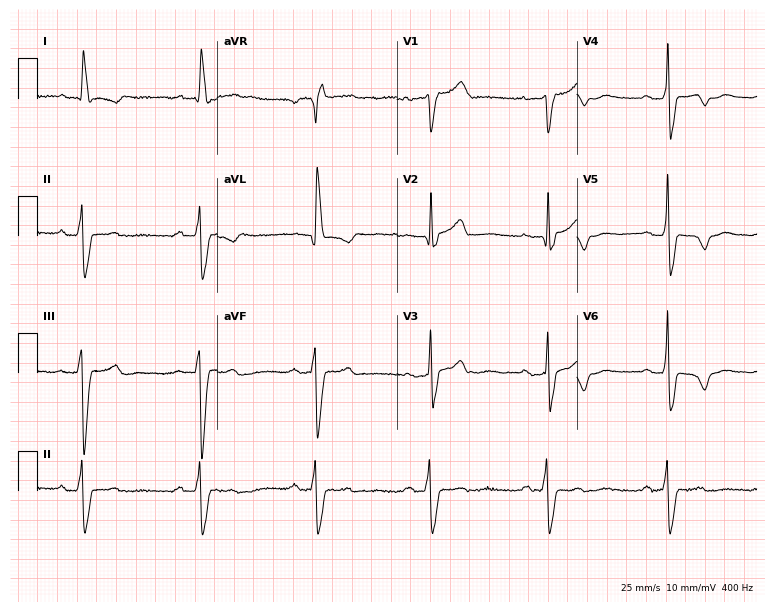
12-lead ECG (7.3-second recording at 400 Hz) from a 76-year-old woman. Findings include first-degree AV block, right bundle branch block.